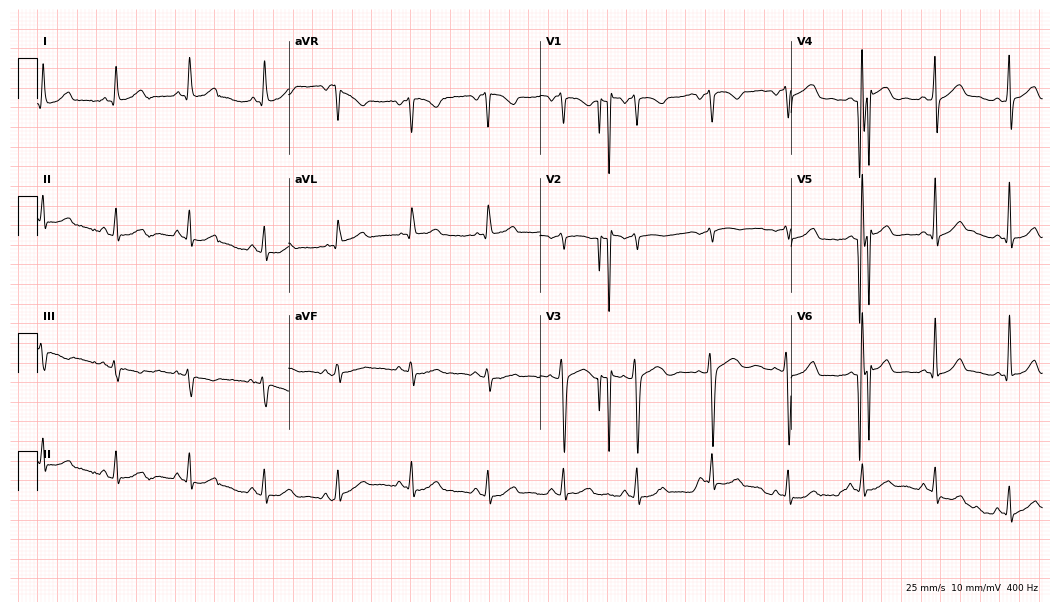
12-lead ECG from a female, 46 years old (10.2-second recording at 400 Hz). Recorded interpretation: within normal limits.